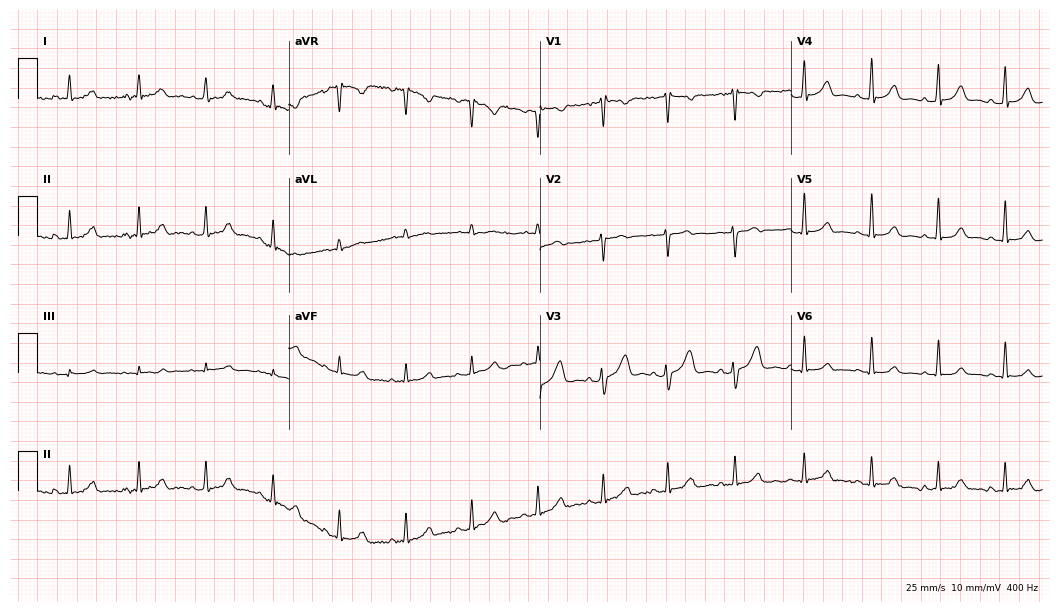
12-lead ECG (10.2-second recording at 400 Hz) from a 19-year-old female patient. Screened for six findings — first-degree AV block, right bundle branch block, left bundle branch block, sinus bradycardia, atrial fibrillation, sinus tachycardia — none is recorded.